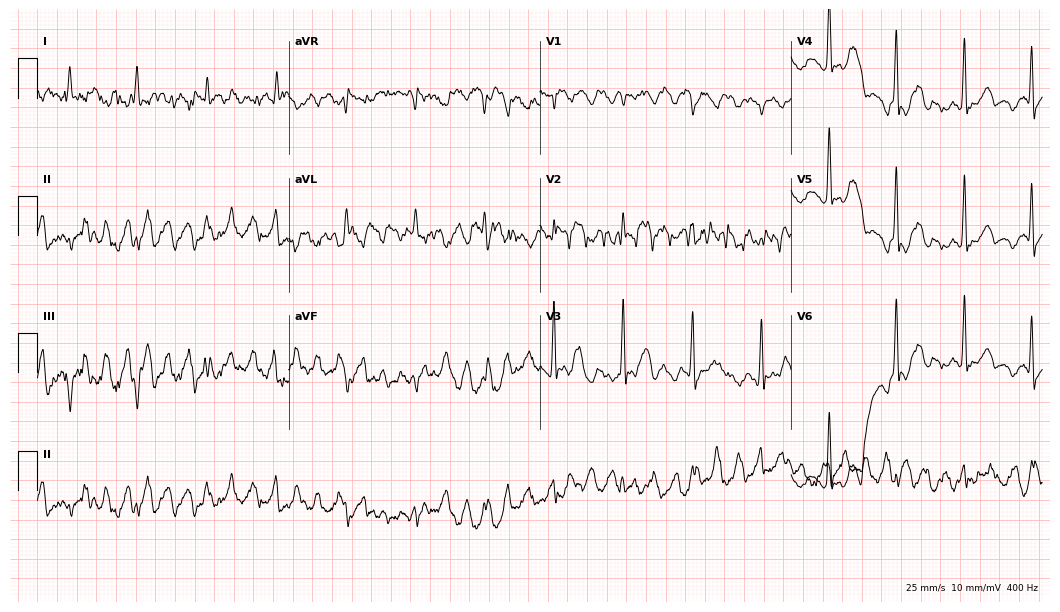
Standard 12-lead ECG recorded from a 79-year-old male (10.2-second recording at 400 Hz). None of these six findings is recorded: first-degree AV block, right bundle branch block (RBBB), left bundle branch block (LBBB), sinus bradycardia, atrial fibrillation (AF), sinus tachycardia. Findings outside these six are not listed.